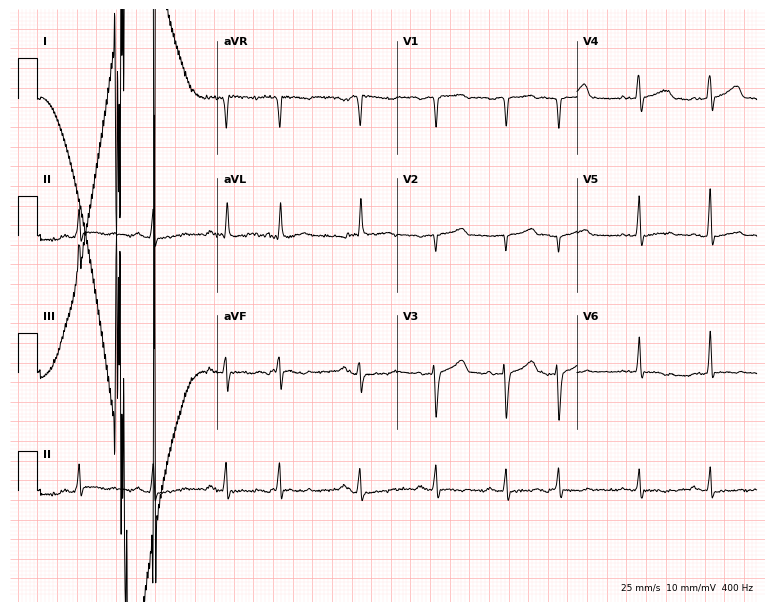
Electrocardiogram, a female, 71 years old. Of the six screened findings (first-degree AV block, right bundle branch block, left bundle branch block, sinus bradycardia, atrial fibrillation, sinus tachycardia), none is recorded. Findings outside these six are not listed.